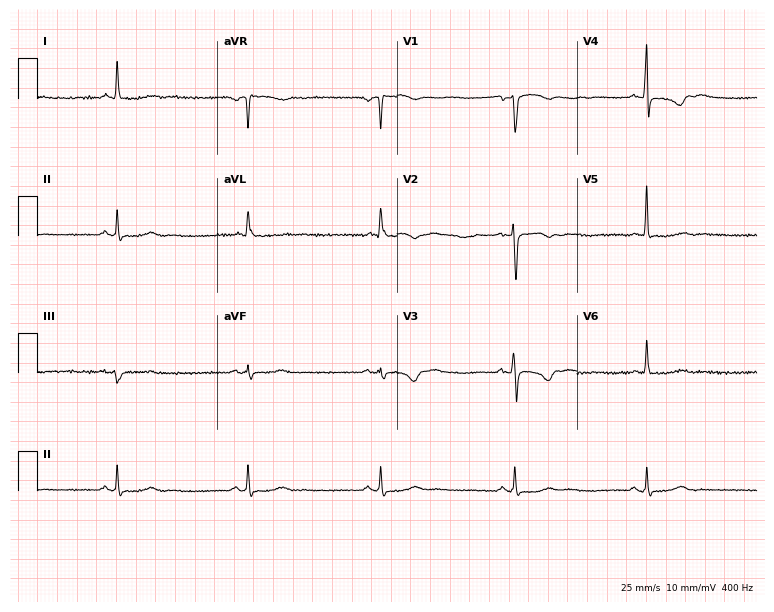
ECG (7.3-second recording at 400 Hz) — a woman, 66 years old. Findings include sinus bradycardia (a sinus rate of 50 beats per minute or less).